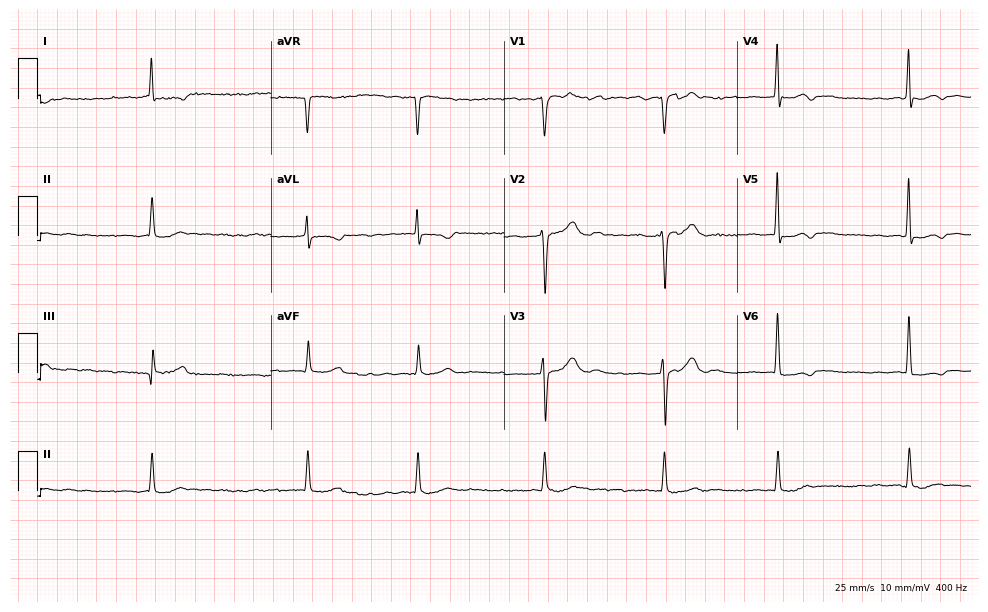
ECG (9.5-second recording at 400 Hz) — a 73-year-old female patient. Findings include atrial fibrillation (AF).